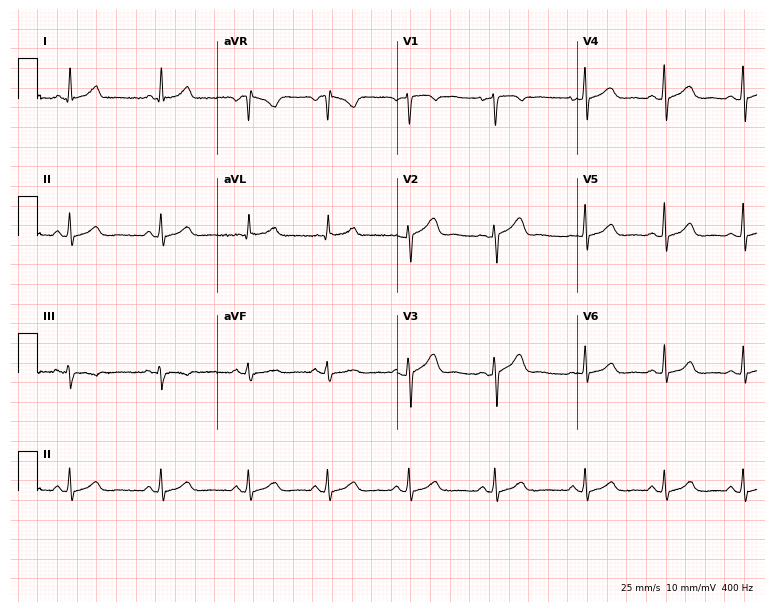
Resting 12-lead electrocardiogram (7.3-second recording at 400 Hz). Patient: a female, 30 years old. Read as a normal ECG.